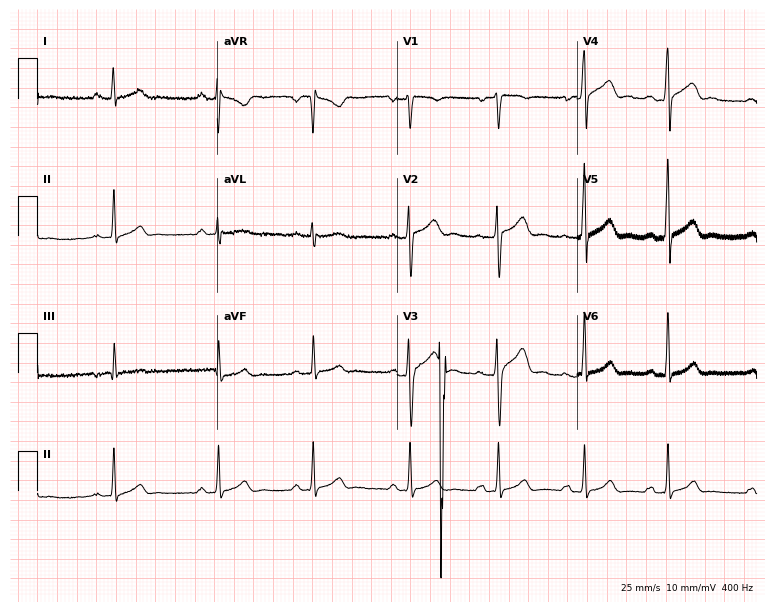
Standard 12-lead ECG recorded from a man, 27 years old (7.3-second recording at 400 Hz). None of these six findings is recorded: first-degree AV block, right bundle branch block, left bundle branch block, sinus bradycardia, atrial fibrillation, sinus tachycardia. Findings outside these six are not listed.